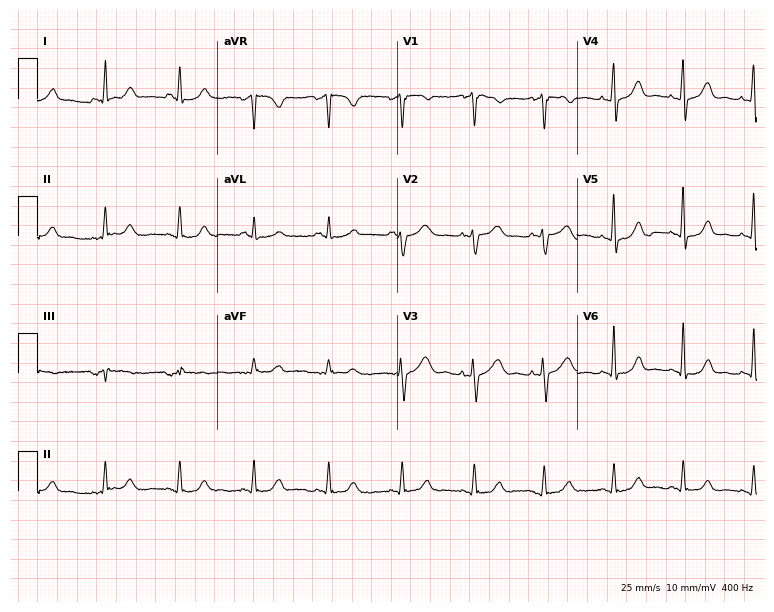
Standard 12-lead ECG recorded from a female, 52 years old (7.3-second recording at 400 Hz). None of these six findings is recorded: first-degree AV block, right bundle branch block, left bundle branch block, sinus bradycardia, atrial fibrillation, sinus tachycardia.